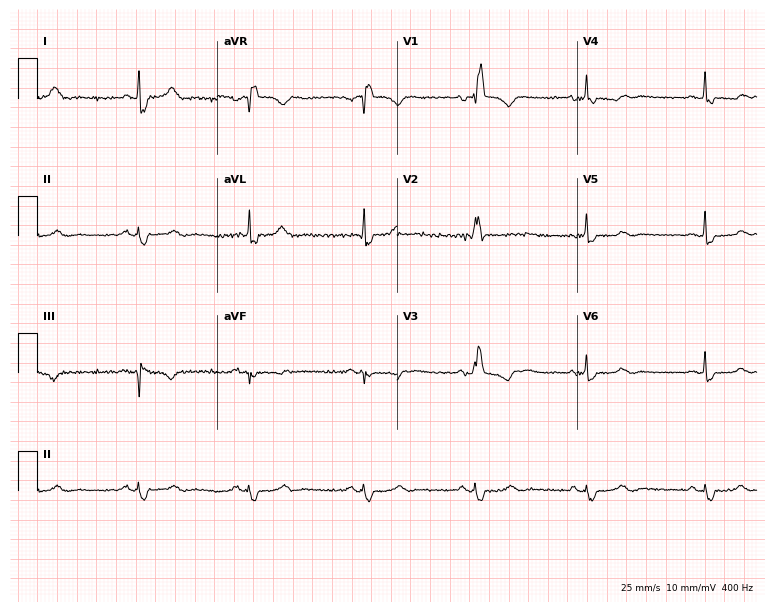
ECG — a woman, 77 years old. Screened for six findings — first-degree AV block, right bundle branch block (RBBB), left bundle branch block (LBBB), sinus bradycardia, atrial fibrillation (AF), sinus tachycardia — none is recorded. Findings outside these six are not listed.